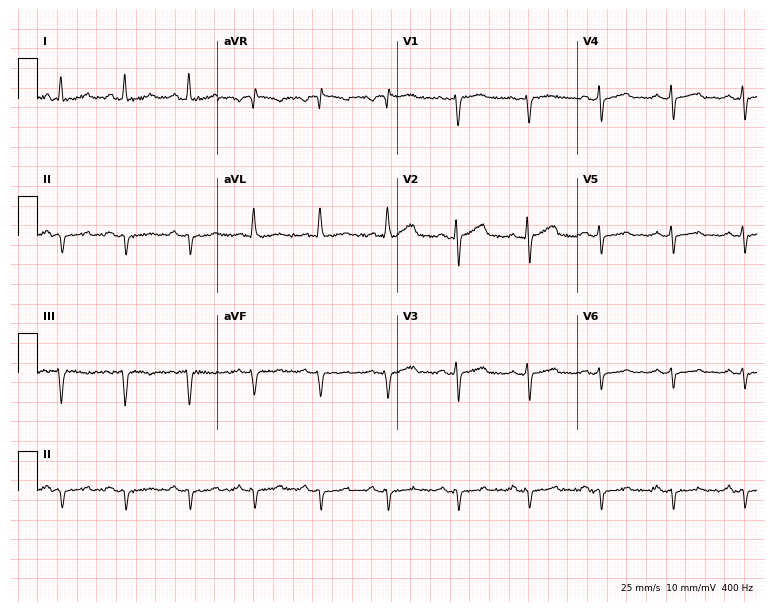
Electrocardiogram (7.3-second recording at 400 Hz), a 60-year-old male patient. Of the six screened findings (first-degree AV block, right bundle branch block, left bundle branch block, sinus bradycardia, atrial fibrillation, sinus tachycardia), none is recorded. Findings outside these six are not listed.